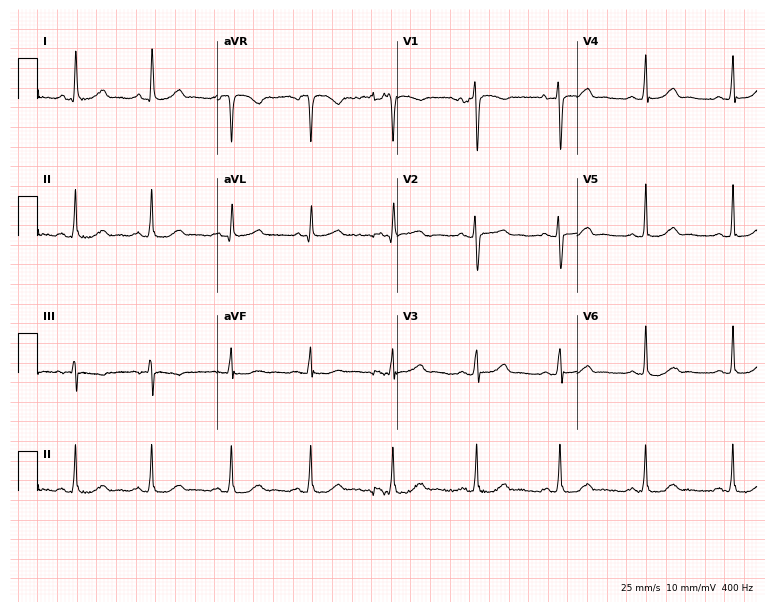
Electrocardiogram (7.3-second recording at 400 Hz), a 47-year-old female patient. Overall reading on record: normal ECG.